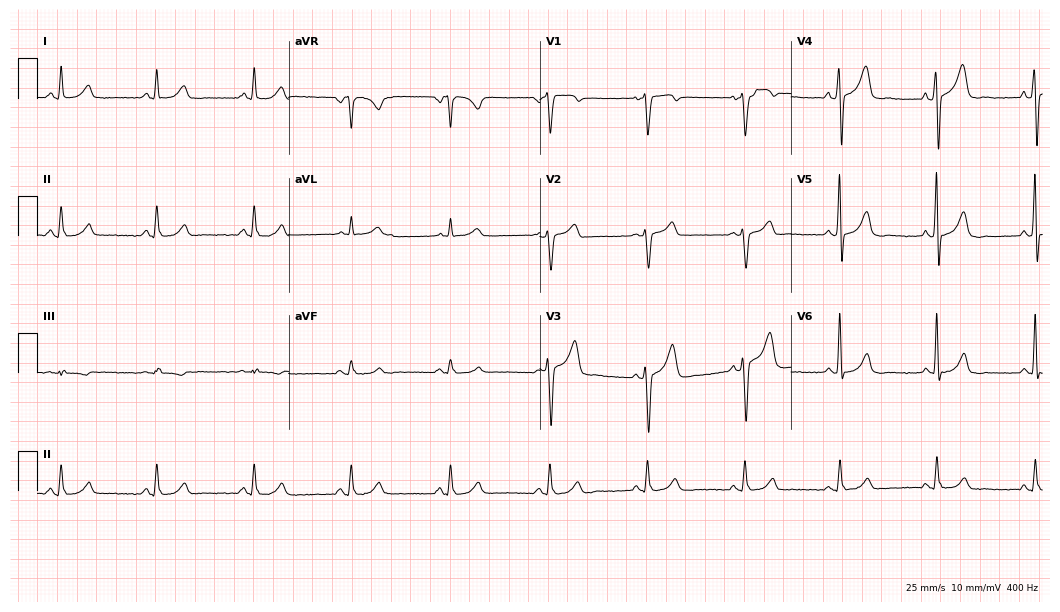
ECG (10.2-second recording at 400 Hz) — a 52-year-old man. Labelled as a normal ECG.